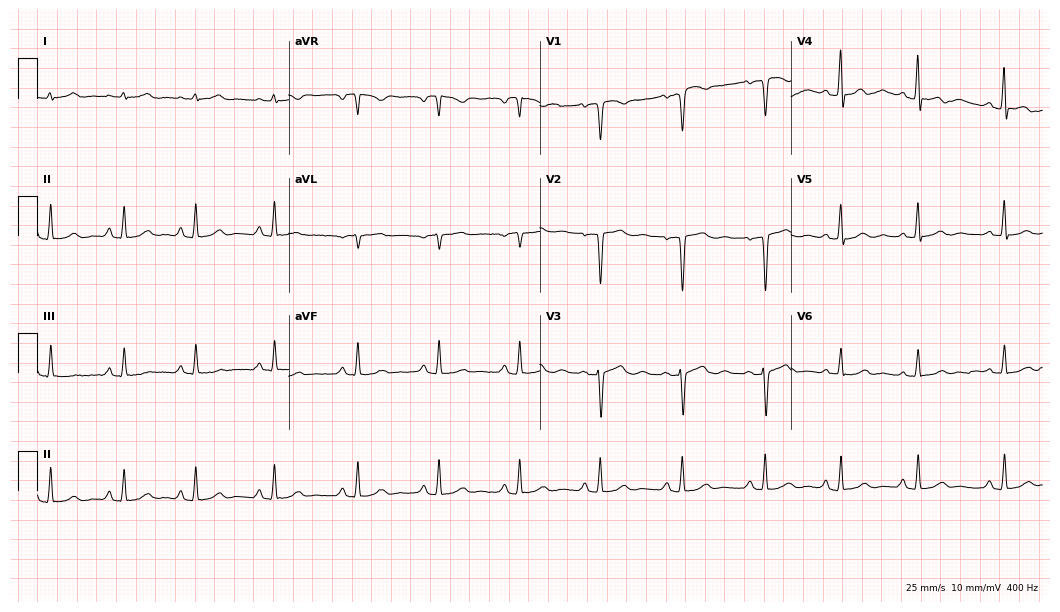
12-lead ECG from a 48-year-old woman (10.2-second recording at 400 Hz). No first-degree AV block, right bundle branch block (RBBB), left bundle branch block (LBBB), sinus bradycardia, atrial fibrillation (AF) or sinus tachycardia recorded for this tracing.